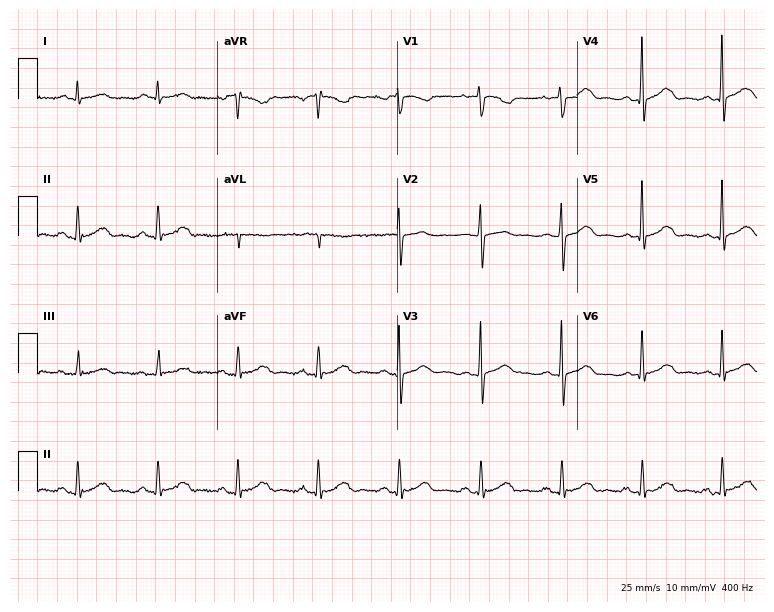
12-lead ECG (7.3-second recording at 400 Hz) from a 67-year-old man. Labelled as a normal ECG.